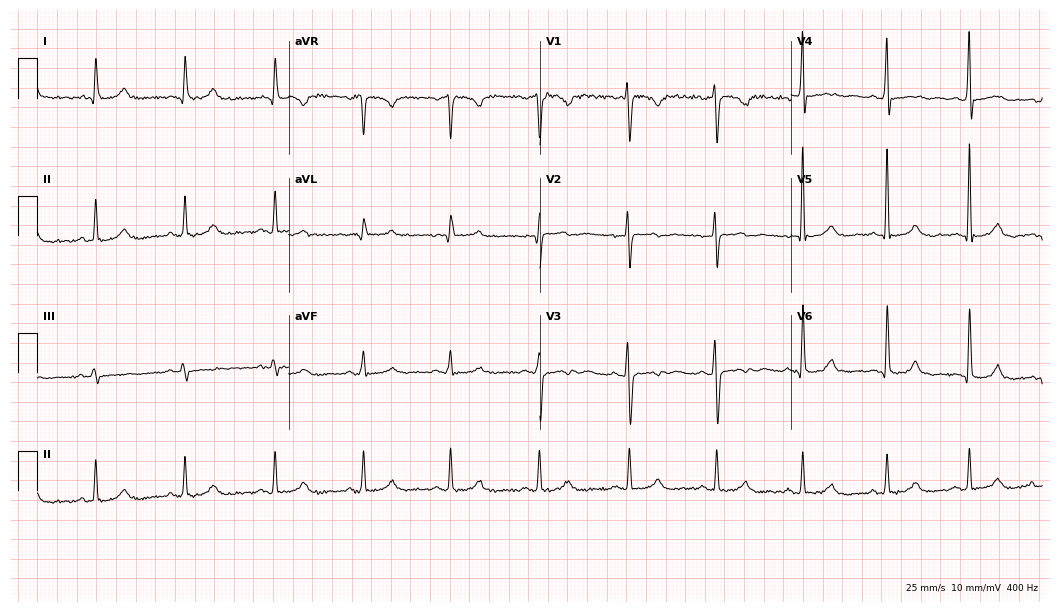
Electrocardiogram, a 48-year-old male patient. Overall reading on record: normal ECG.